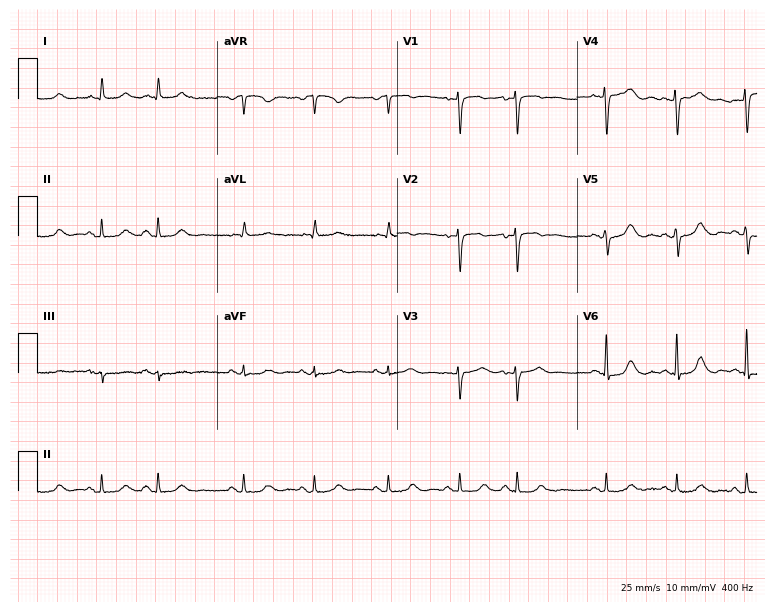
Electrocardiogram, an 83-year-old female patient. Of the six screened findings (first-degree AV block, right bundle branch block, left bundle branch block, sinus bradycardia, atrial fibrillation, sinus tachycardia), none is recorded. Only these six findings were labelled.